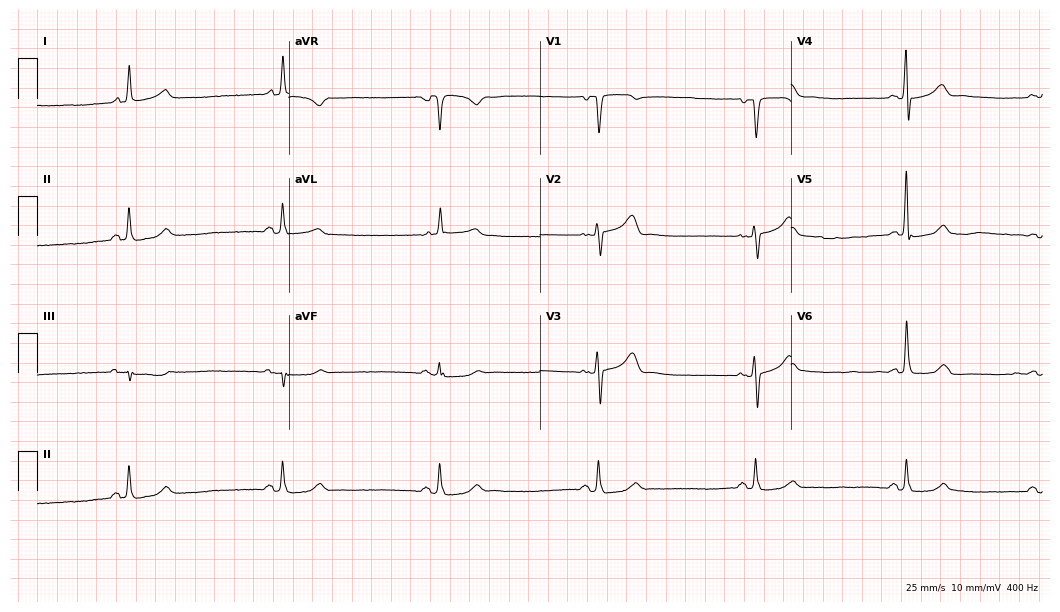
12-lead ECG from a male patient, 82 years old (10.2-second recording at 400 Hz). Shows sinus bradycardia (a sinus rate of 50 beats per minute or less).